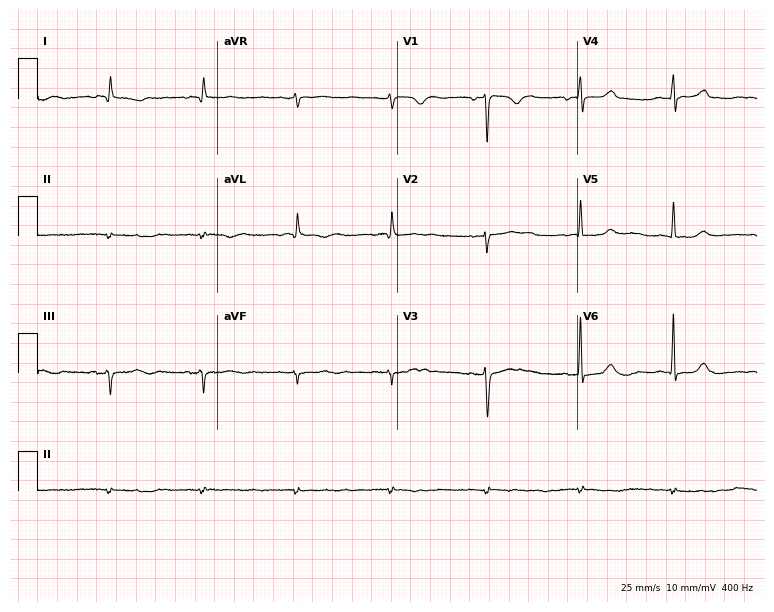
ECG (7.3-second recording at 400 Hz) — a 59-year-old female. Screened for six findings — first-degree AV block, right bundle branch block, left bundle branch block, sinus bradycardia, atrial fibrillation, sinus tachycardia — none is recorded. Findings outside these six are not listed.